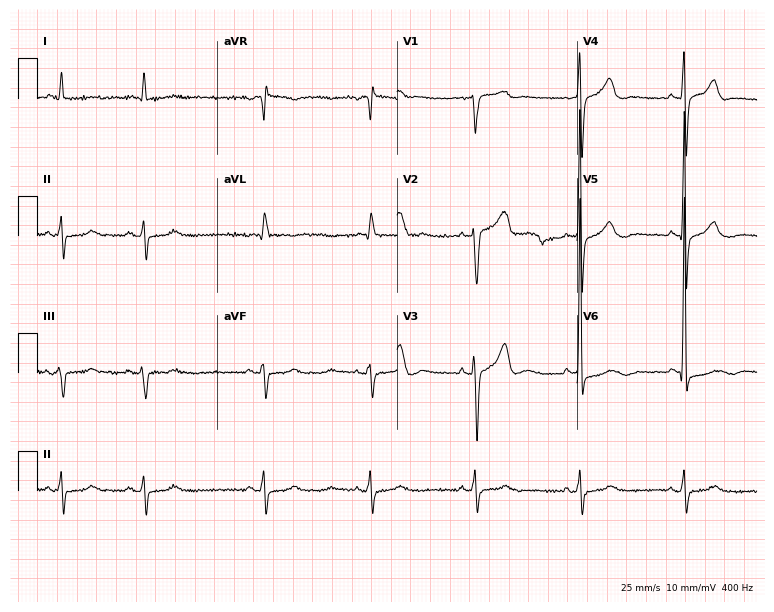
12-lead ECG from an 80-year-old male. No first-degree AV block, right bundle branch block (RBBB), left bundle branch block (LBBB), sinus bradycardia, atrial fibrillation (AF) or sinus tachycardia recorded for this tracing.